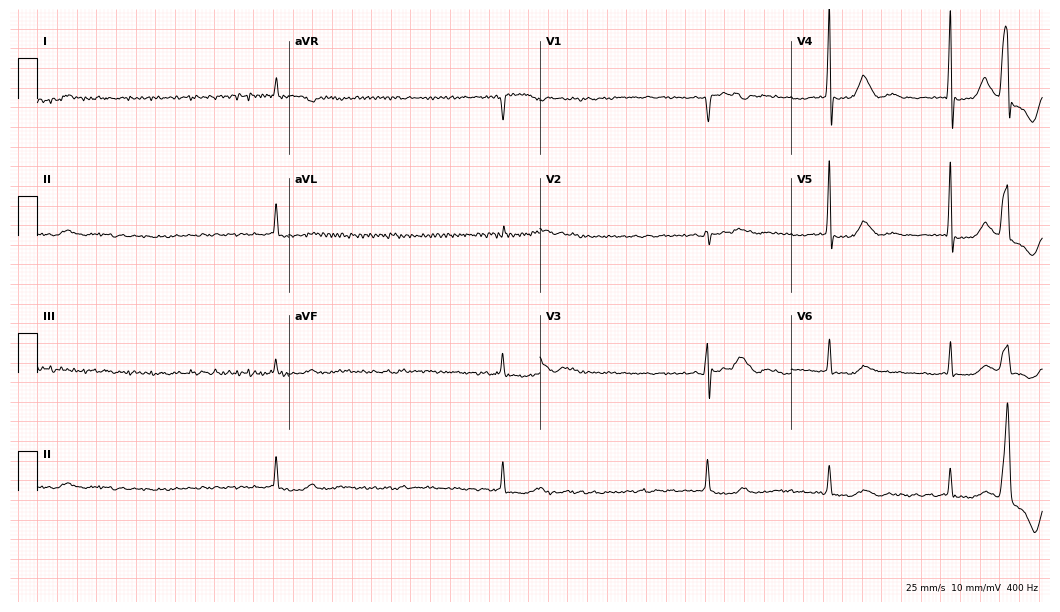
Resting 12-lead electrocardiogram. Patient: a male, 75 years old. The tracing shows atrial fibrillation.